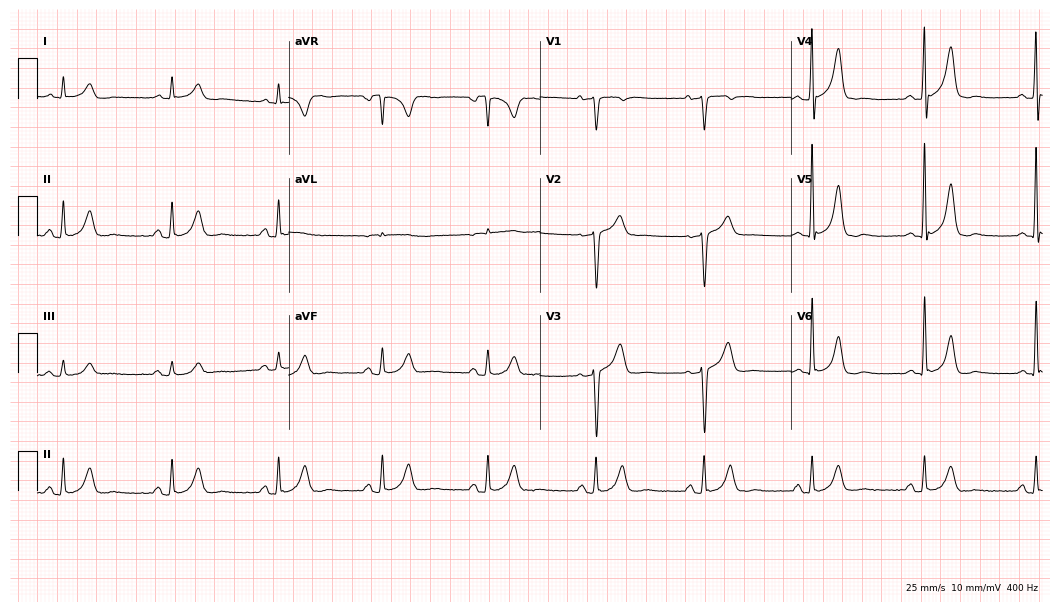
Electrocardiogram (10.2-second recording at 400 Hz), a 60-year-old male. Overall reading on record: normal ECG.